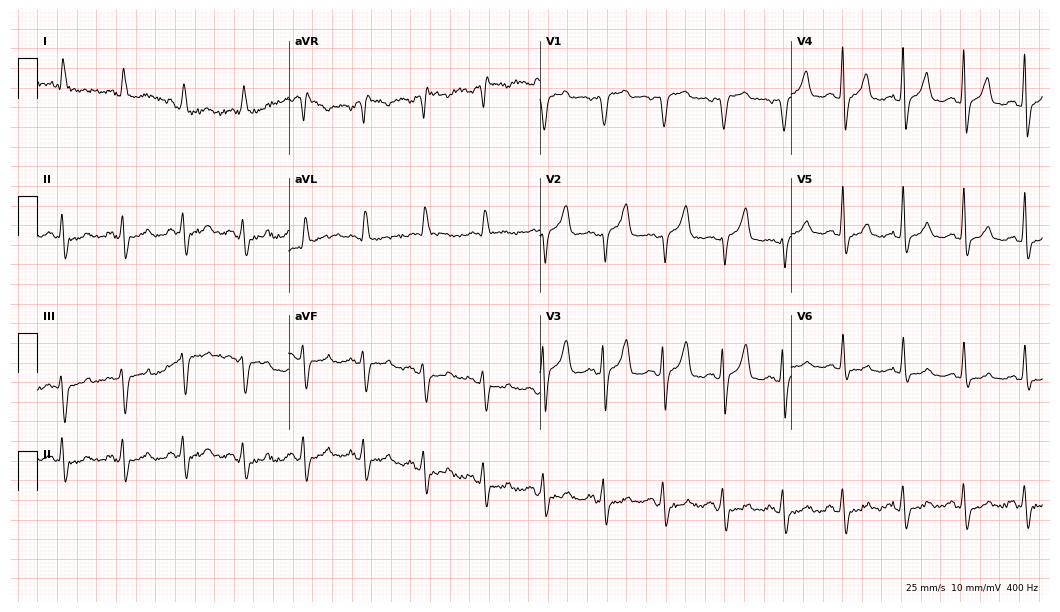
Resting 12-lead electrocardiogram. Patient: a man, 64 years old. None of these six findings is recorded: first-degree AV block, right bundle branch block, left bundle branch block, sinus bradycardia, atrial fibrillation, sinus tachycardia. Only these six findings were labelled.